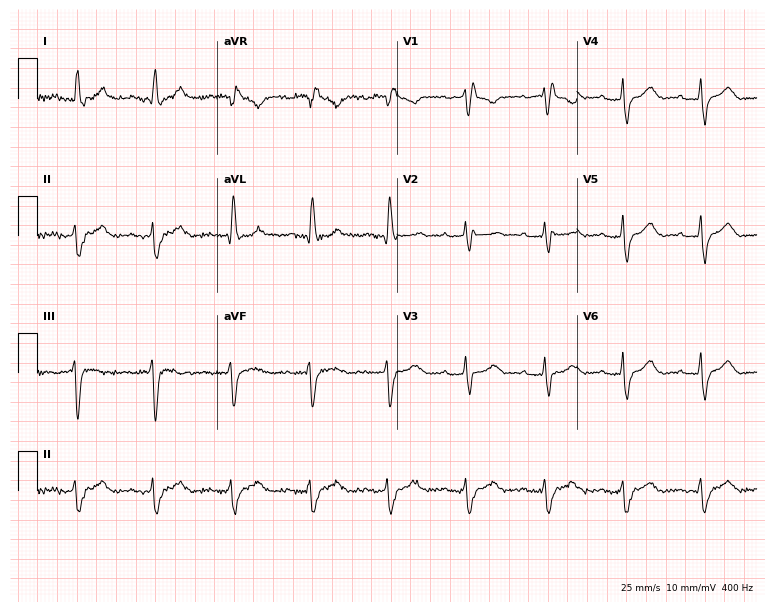
Standard 12-lead ECG recorded from a female, 75 years old (7.3-second recording at 400 Hz). None of these six findings is recorded: first-degree AV block, right bundle branch block (RBBB), left bundle branch block (LBBB), sinus bradycardia, atrial fibrillation (AF), sinus tachycardia. Findings outside these six are not listed.